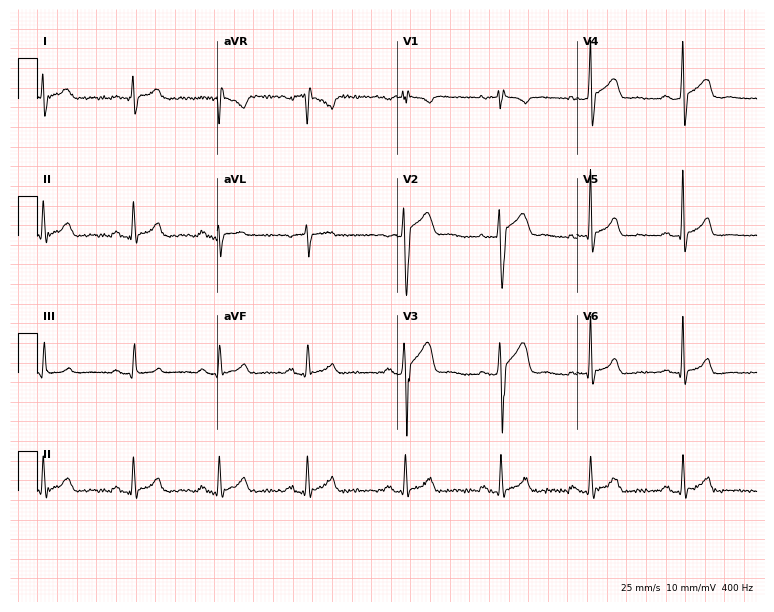
12-lead ECG (7.3-second recording at 400 Hz) from a man, 24 years old. Screened for six findings — first-degree AV block, right bundle branch block (RBBB), left bundle branch block (LBBB), sinus bradycardia, atrial fibrillation (AF), sinus tachycardia — none is recorded.